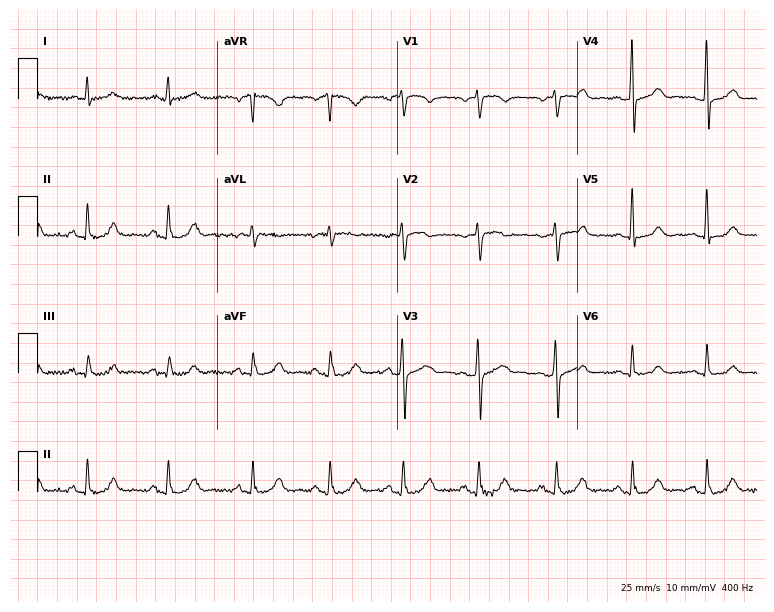
Standard 12-lead ECG recorded from a woman, 60 years old. None of these six findings is recorded: first-degree AV block, right bundle branch block, left bundle branch block, sinus bradycardia, atrial fibrillation, sinus tachycardia.